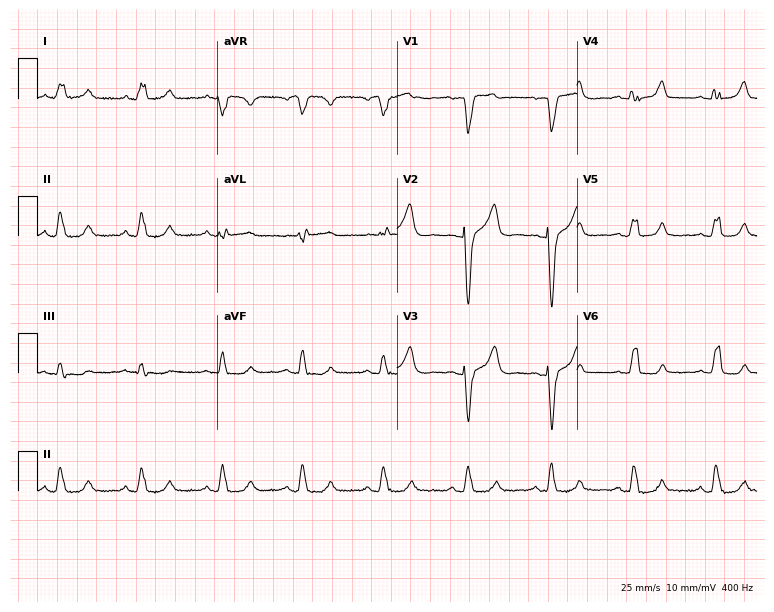
12-lead ECG from a 53-year-old woman. No first-degree AV block, right bundle branch block, left bundle branch block, sinus bradycardia, atrial fibrillation or sinus tachycardia recorded for this tracing.